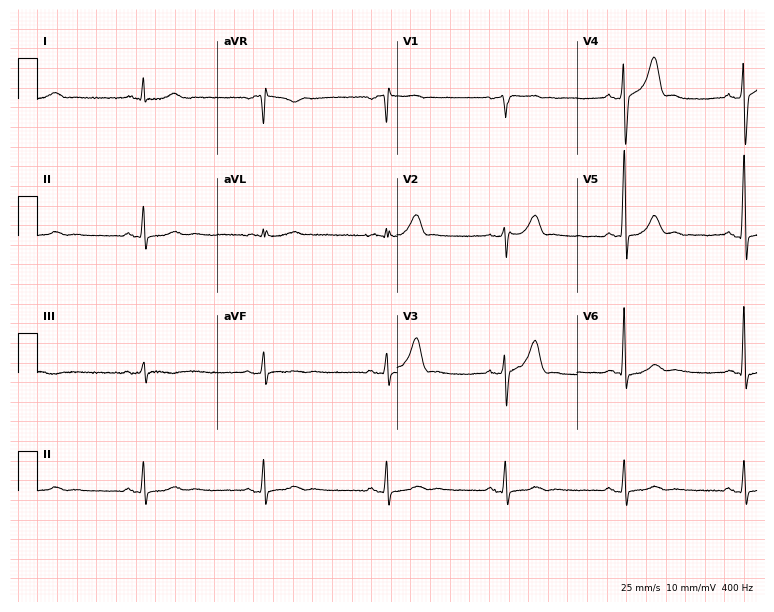
ECG (7.3-second recording at 400 Hz) — a male, 58 years old. Screened for six findings — first-degree AV block, right bundle branch block, left bundle branch block, sinus bradycardia, atrial fibrillation, sinus tachycardia — none is recorded.